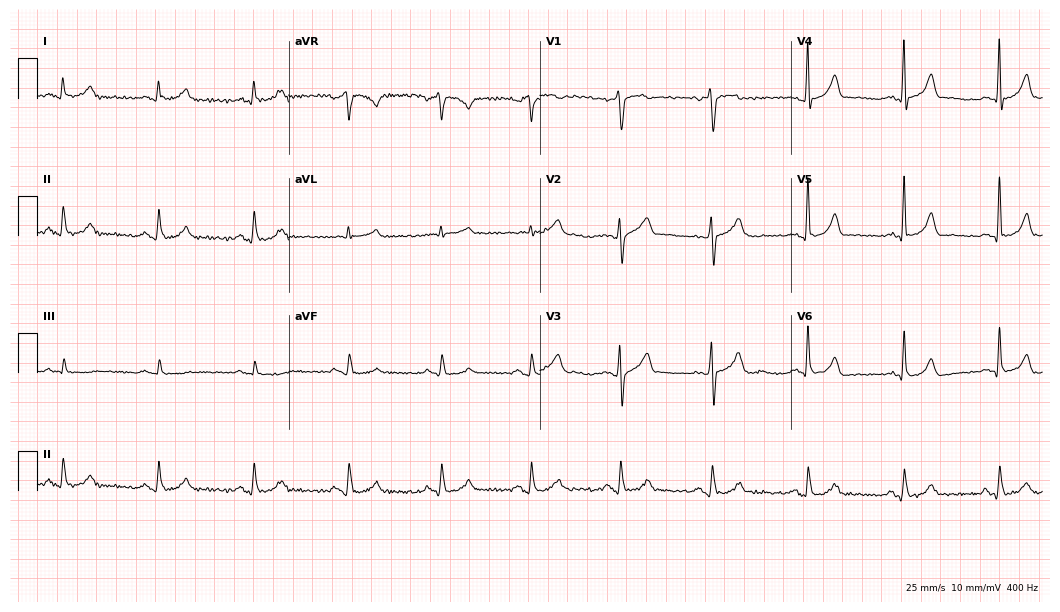
Standard 12-lead ECG recorded from a man, 50 years old (10.2-second recording at 400 Hz). None of these six findings is recorded: first-degree AV block, right bundle branch block, left bundle branch block, sinus bradycardia, atrial fibrillation, sinus tachycardia.